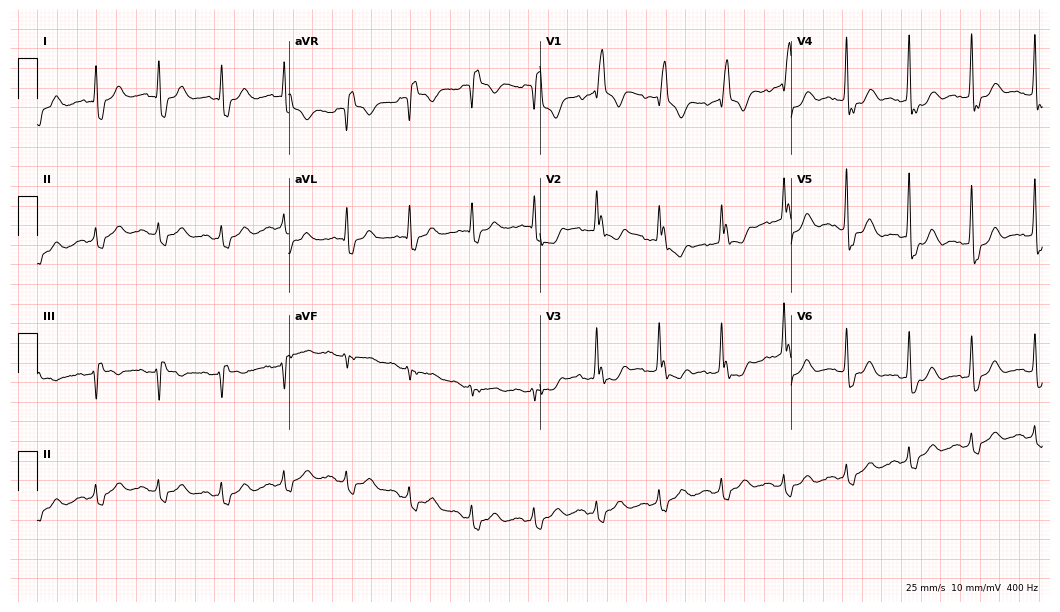
Resting 12-lead electrocardiogram. Patient: a male, 79 years old. The tracing shows right bundle branch block.